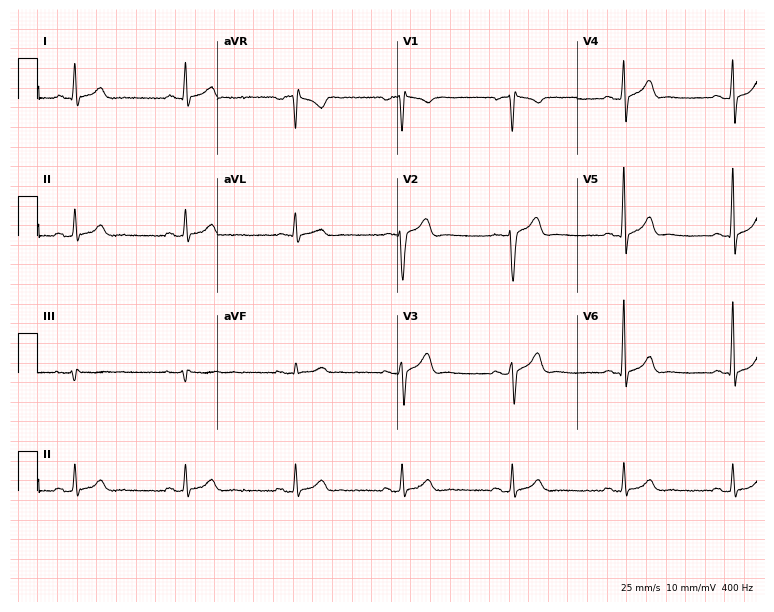
ECG — a 37-year-old male. Screened for six findings — first-degree AV block, right bundle branch block, left bundle branch block, sinus bradycardia, atrial fibrillation, sinus tachycardia — none is recorded.